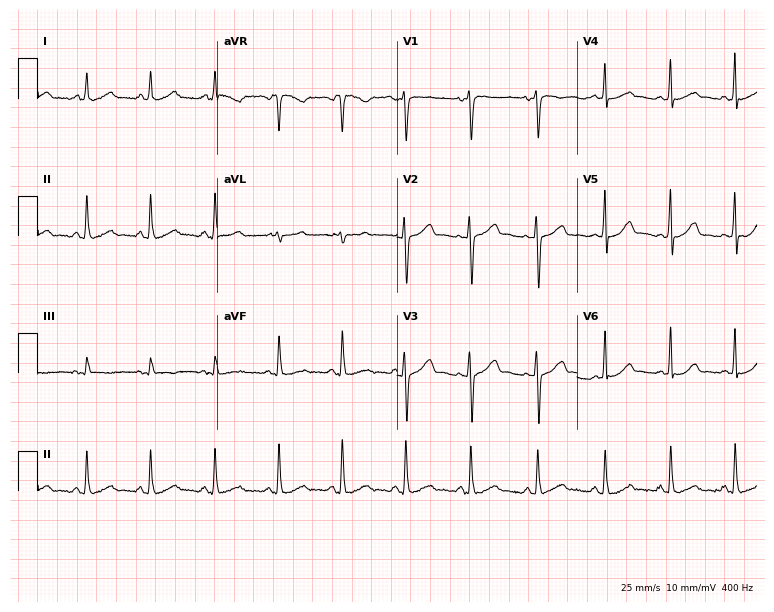
ECG — a female, 31 years old. Labelled as a normal ECG.